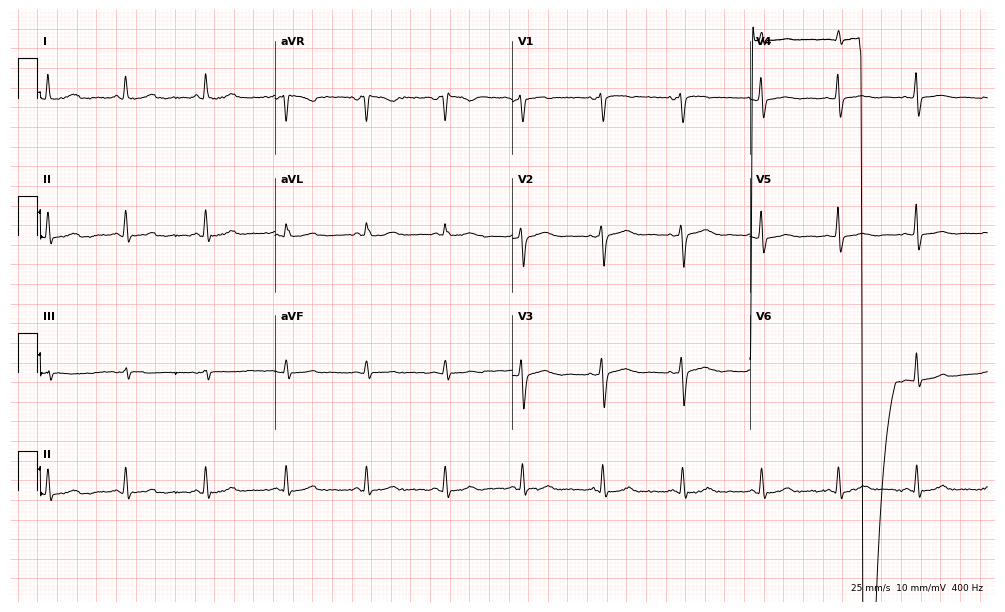
Electrocardiogram (9.7-second recording at 400 Hz), a 53-year-old female. Of the six screened findings (first-degree AV block, right bundle branch block, left bundle branch block, sinus bradycardia, atrial fibrillation, sinus tachycardia), none is recorded.